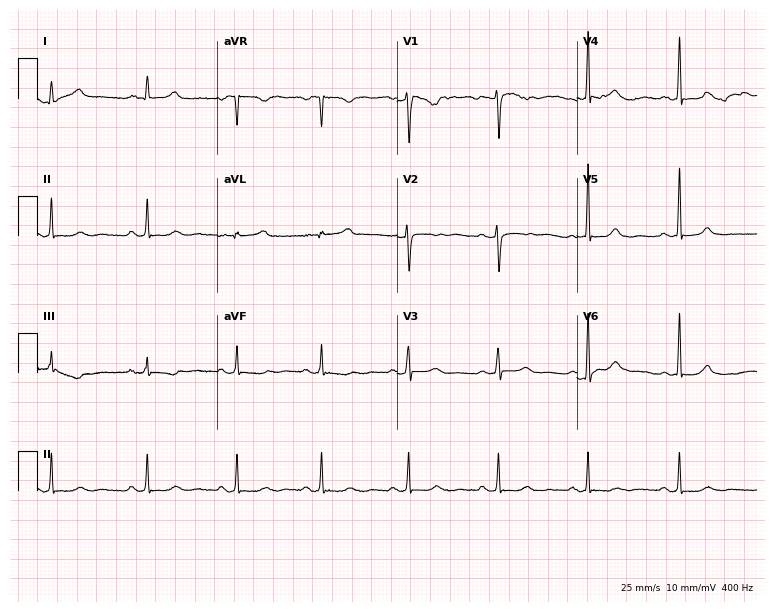
Standard 12-lead ECG recorded from a woman, 39 years old. Read as a normal ECG.